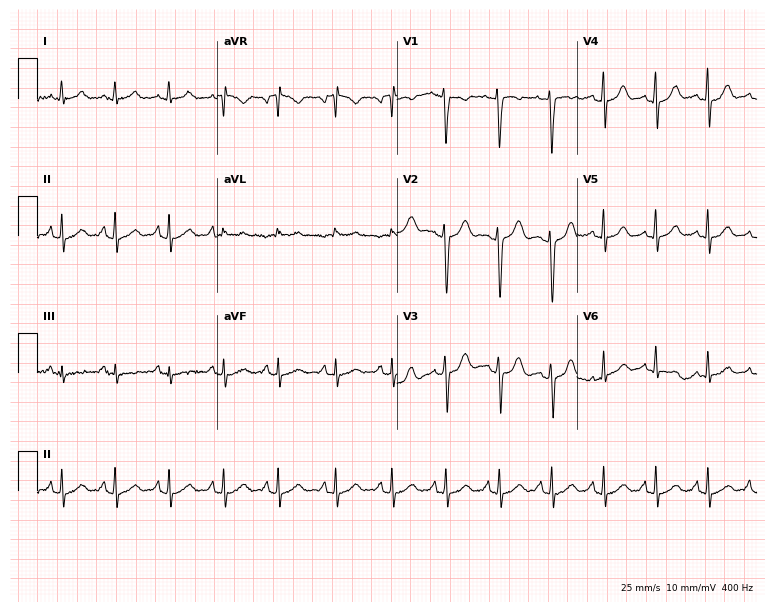
ECG (7.3-second recording at 400 Hz) — a woman, 20 years old. Screened for six findings — first-degree AV block, right bundle branch block (RBBB), left bundle branch block (LBBB), sinus bradycardia, atrial fibrillation (AF), sinus tachycardia — none is recorded. Findings outside these six are not listed.